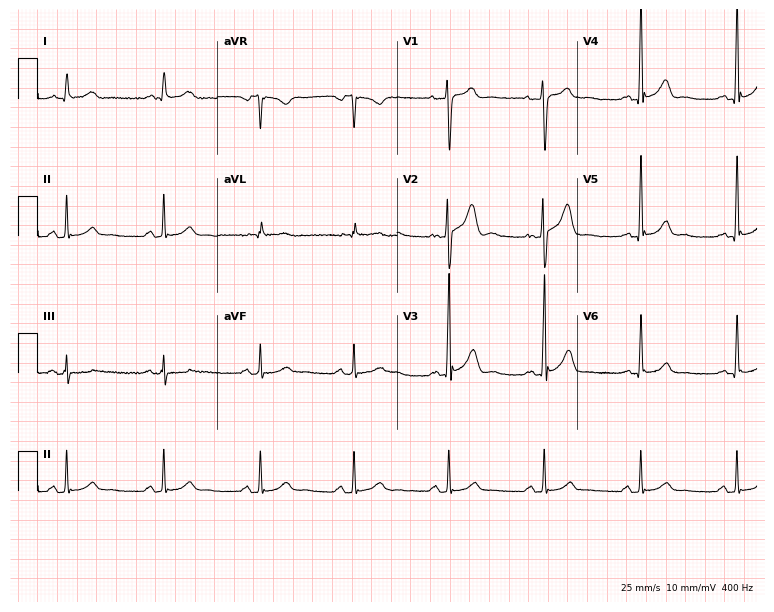
12-lead ECG from a male patient, 30 years old. Recorded interpretation: within normal limits.